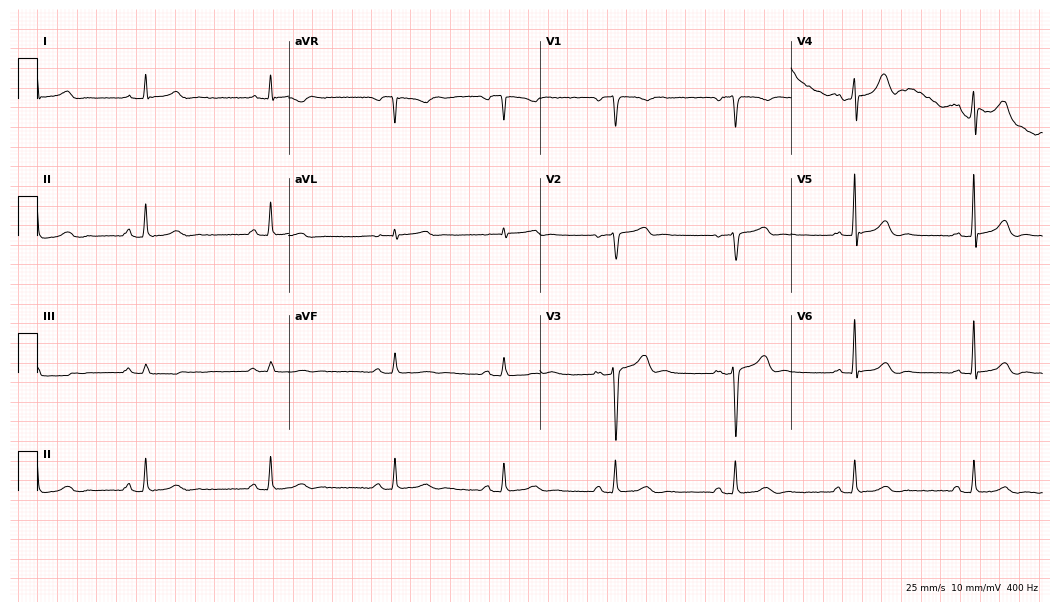
Resting 12-lead electrocardiogram. Patient: a woman, 48 years old. None of these six findings is recorded: first-degree AV block, right bundle branch block (RBBB), left bundle branch block (LBBB), sinus bradycardia, atrial fibrillation (AF), sinus tachycardia.